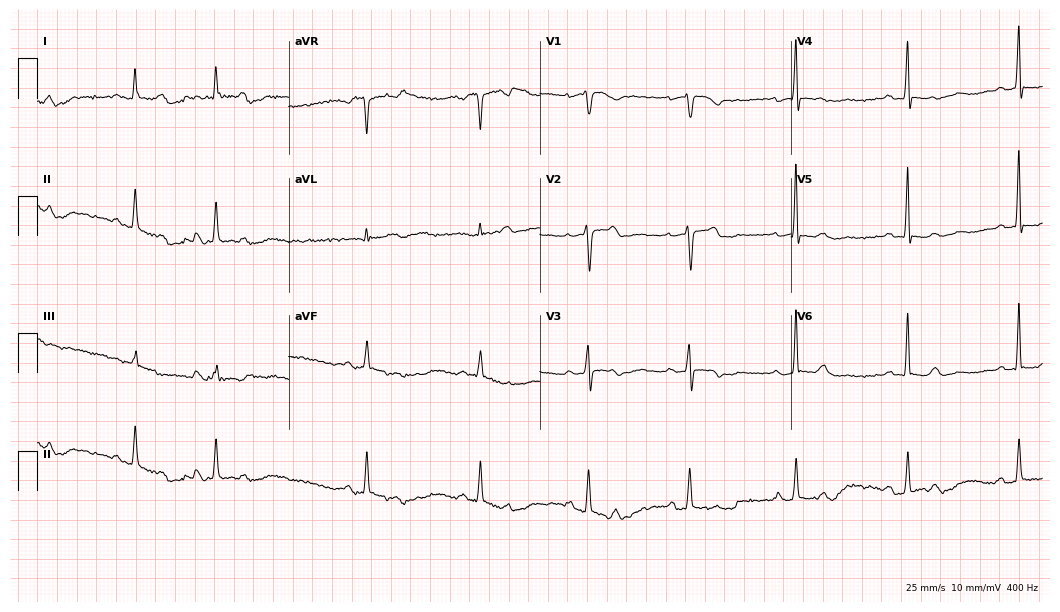
ECG (10.2-second recording at 400 Hz) — an 81-year-old woman. Screened for six findings — first-degree AV block, right bundle branch block (RBBB), left bundle branch block (LBBB), sinus bradycardia, atrial fibrillation (AF), sinus tachycardia — none is recorded.